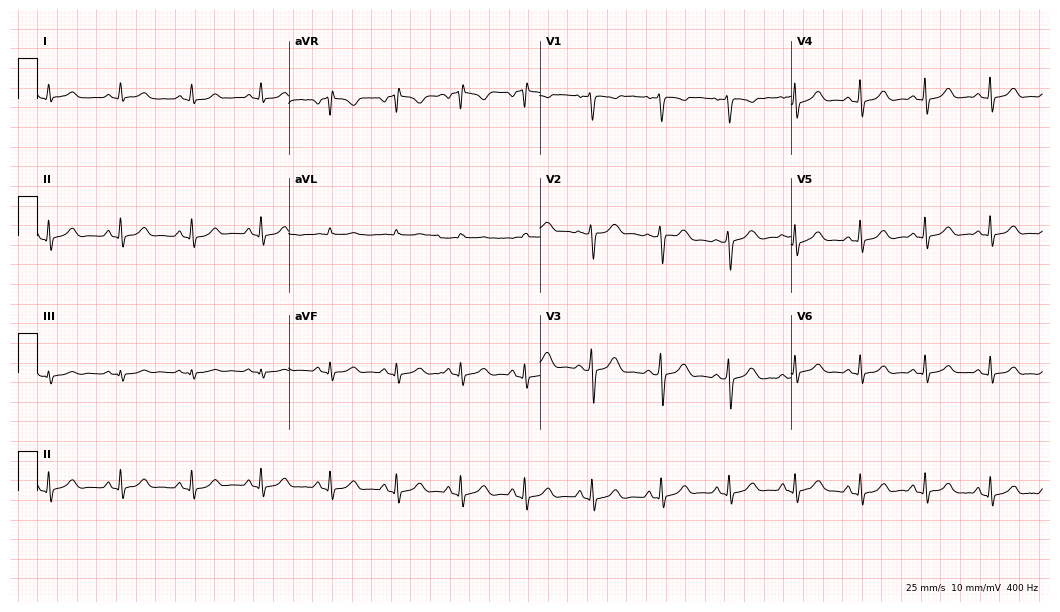
ECG — a female patient, 22 years old. Labelled as a normal ECG.